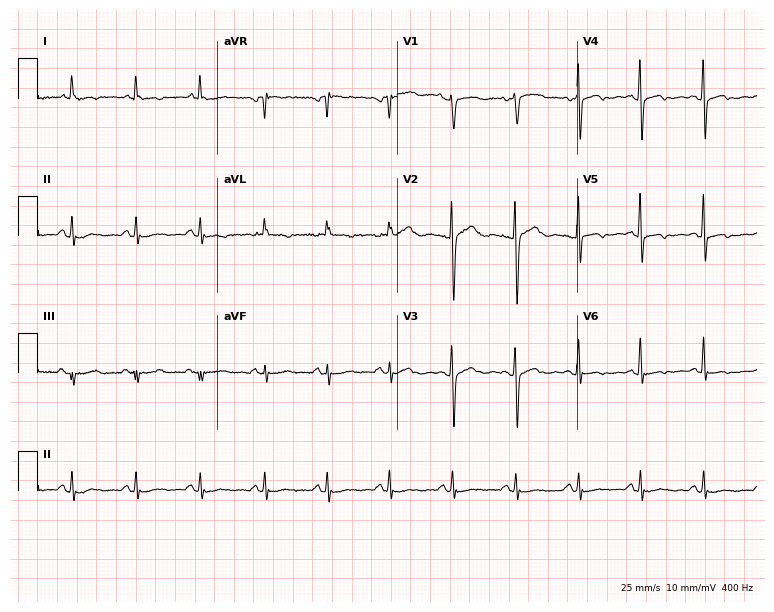
Electrocardiogram (7.3-second recording at 400 Hz), a 58-year-old woman. Overall reading on record: normal ECG.